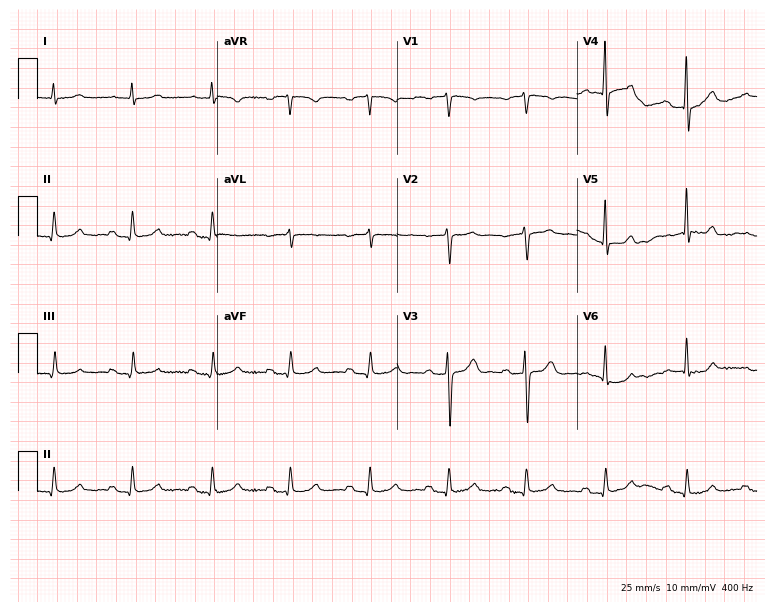
Resting 12-lead electrocardiogram (7.3-second recording at 400 Hz). Patient: a 67-year-old male. Read as a normal ECG.